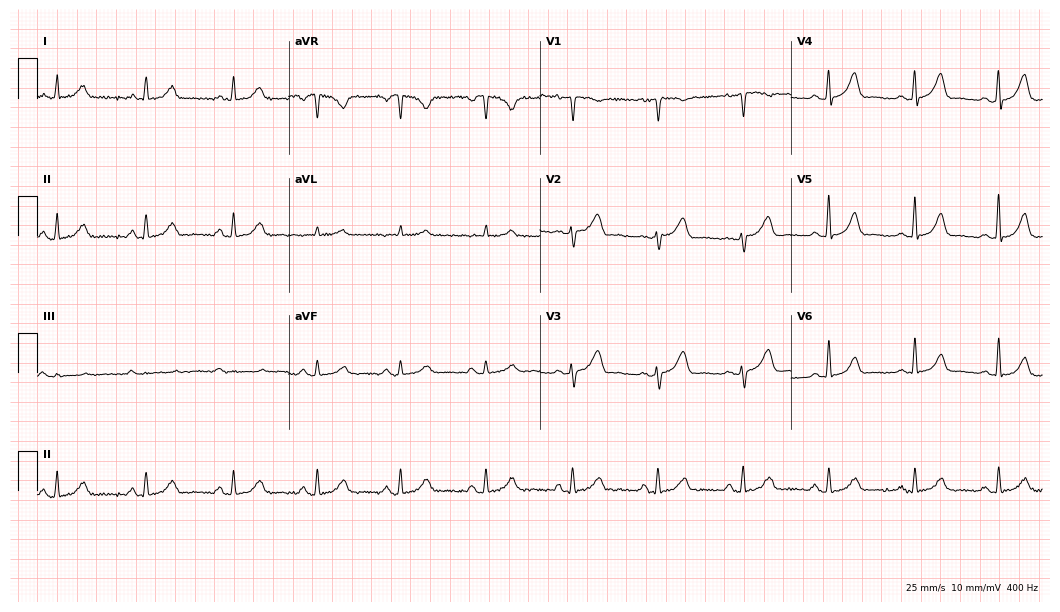
12-lead ECG from a female patient, 55 years old (10.2-second recording at 400 Hz). Recorded interpretation: within normal limits.